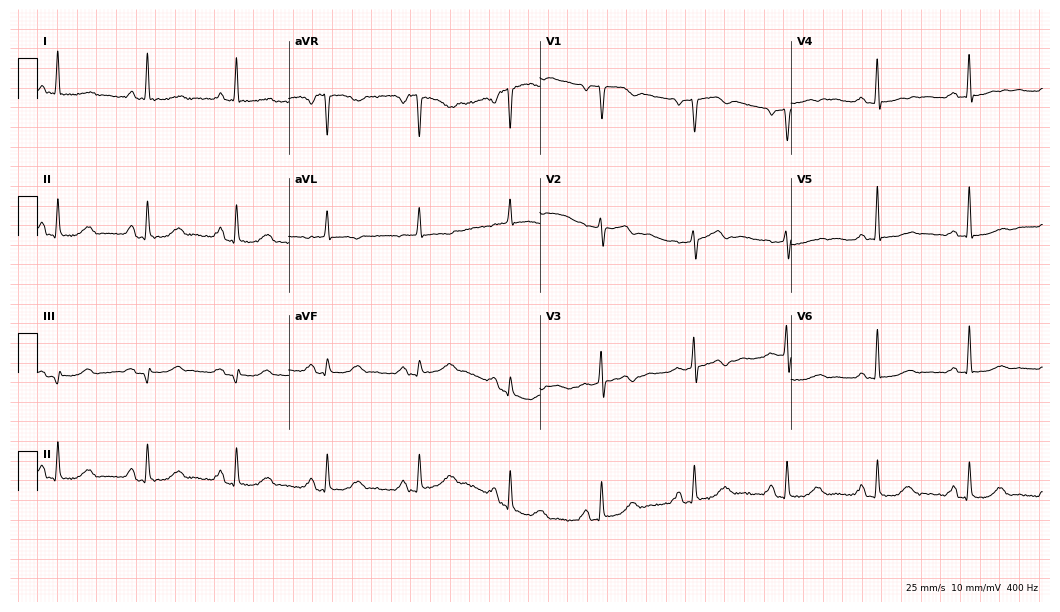
12-lead ECG from a female, 63 years old. Recorded interpretation: within normal limits.